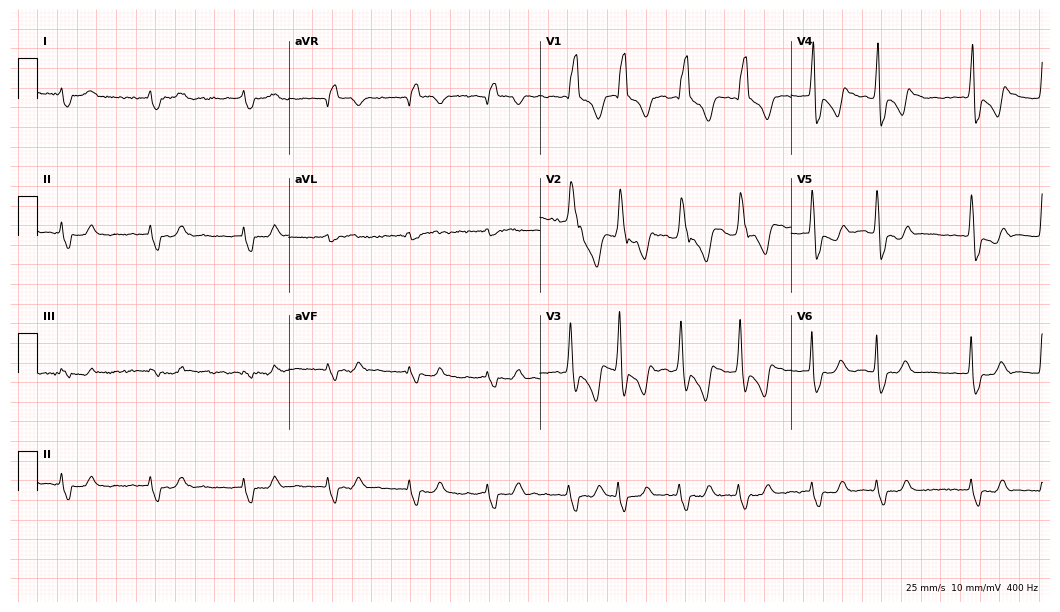
Resting 12-lead electrocardiogram (10.2-second recording at 400 Hz). Patient: a 61-year-old male. The tracing shows right bundle branch block.